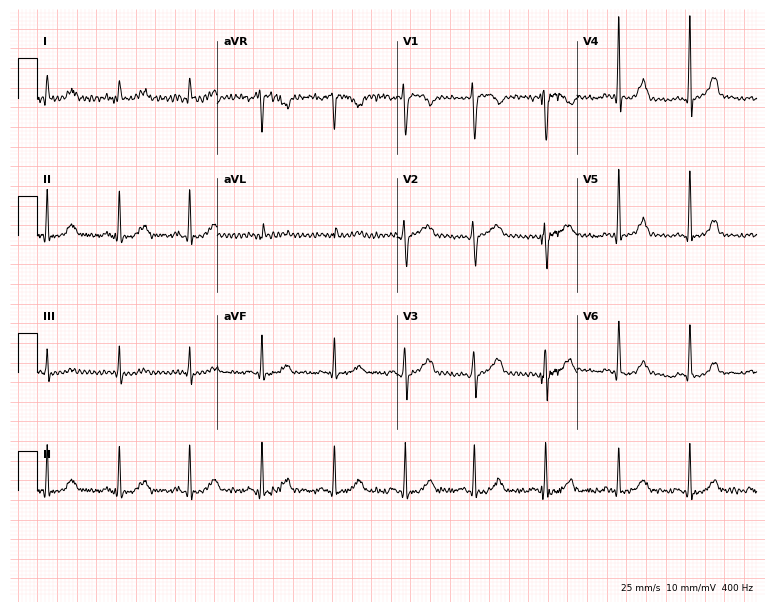
12-lead ECG from a 27-year-old female (7.3-second recording at 400 Hz). No first-degree AV block, right bundle branch block (RBBB), left bundle branch block (LBBB), sinus bradycardia, atrial fibrillation (AF) or sinus tachycardia recorded for this tracing. Only these six findings were labelled.